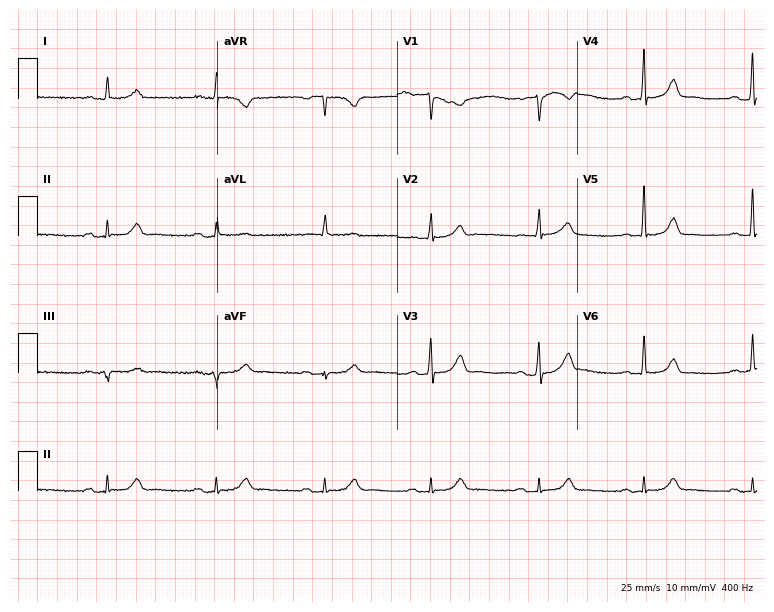
12-lead ECG from an 83-year-old male patient. Labelled as a normal ECG.